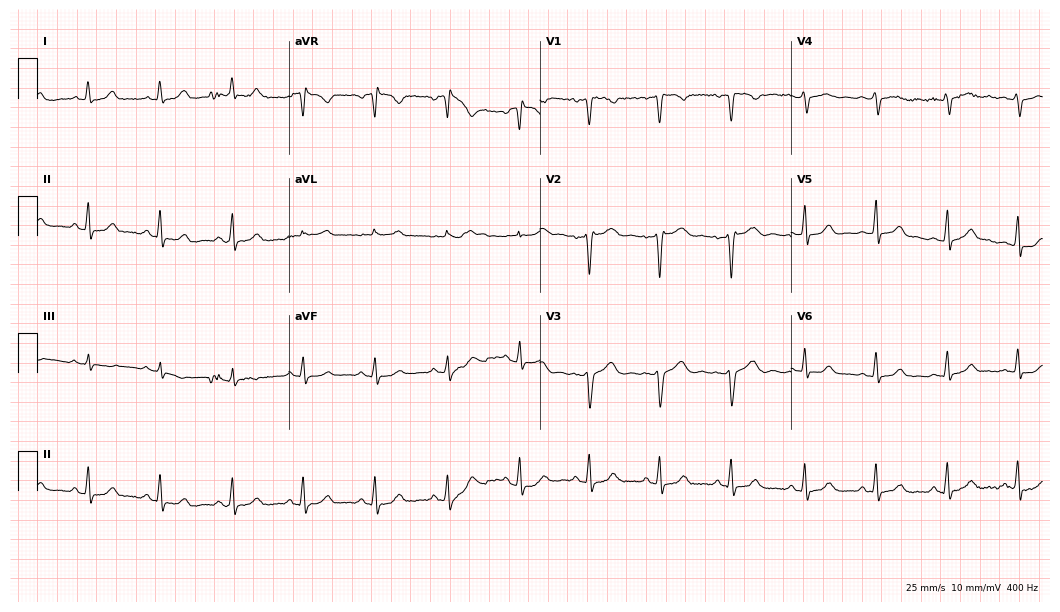
12-lead ECG (10.2-second recording at 400 Hz) from a woman, 34 years old. Screened for six findings — first-degree AV block, right bundle branch block, left bundle branch block, sinus bradycardia, atrial fibrillation, sinus tachycardia — none is recorded.